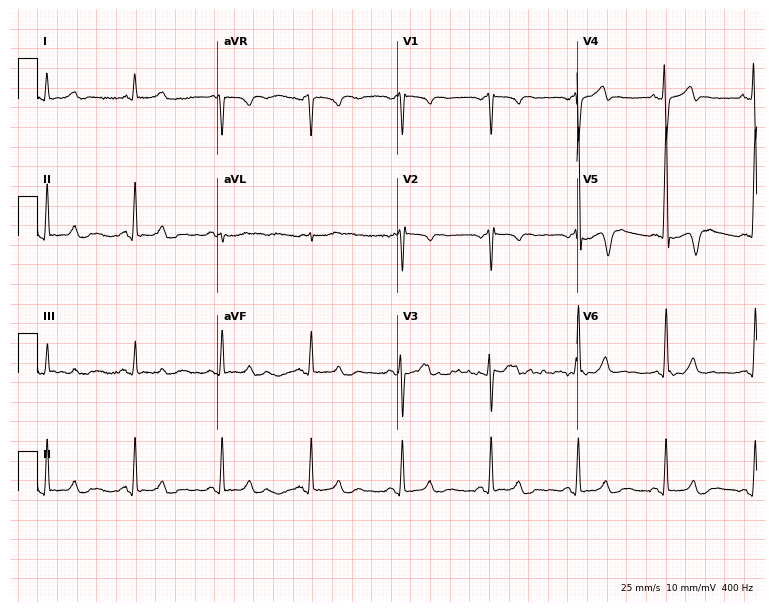
Resting 12-lead electrocardiogram (7.3-second recording at 400 Hz). Patient: a 79-year-old male. Read as a normal ECG.